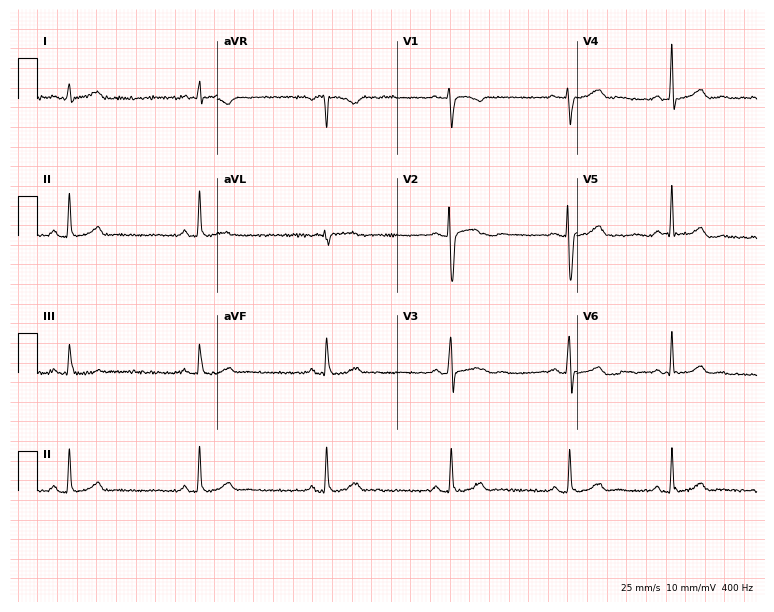
12-lead ECG from a 36-year-old woman (7.3-second recording at 400 Hz). No first-degree AV block, right bundle branch block (RBBB), left bundle branch block (LBBB), sinus bradycardia, atrial fibrillation (AF) or sinus tachycardia recorded for this tracing. Only these six findings were labelled.